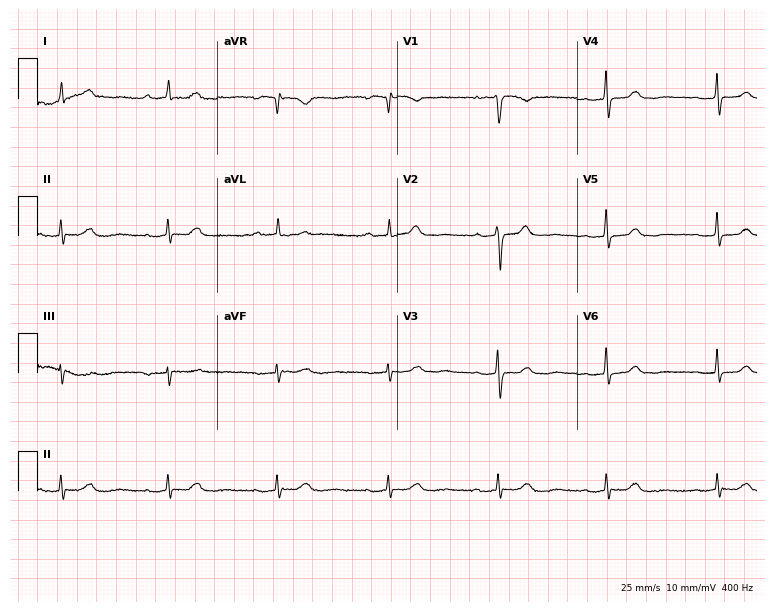
12-lead ECG from a 75-year-old woman. Shows first-degree AV block.